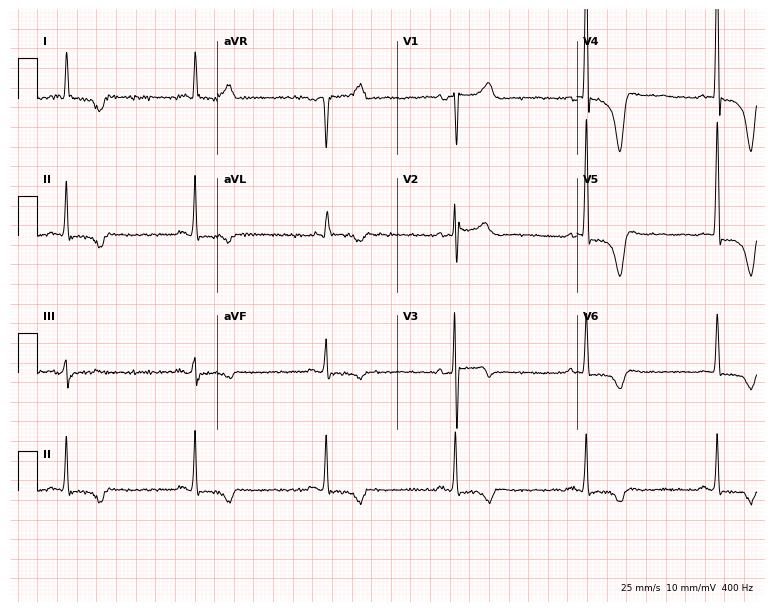
ECG (7.3-second recording at 400 Hz) — a 71-year-old male patient. Findings include sinus bradycardia (a sinus rate of 50 beats per minute or less).